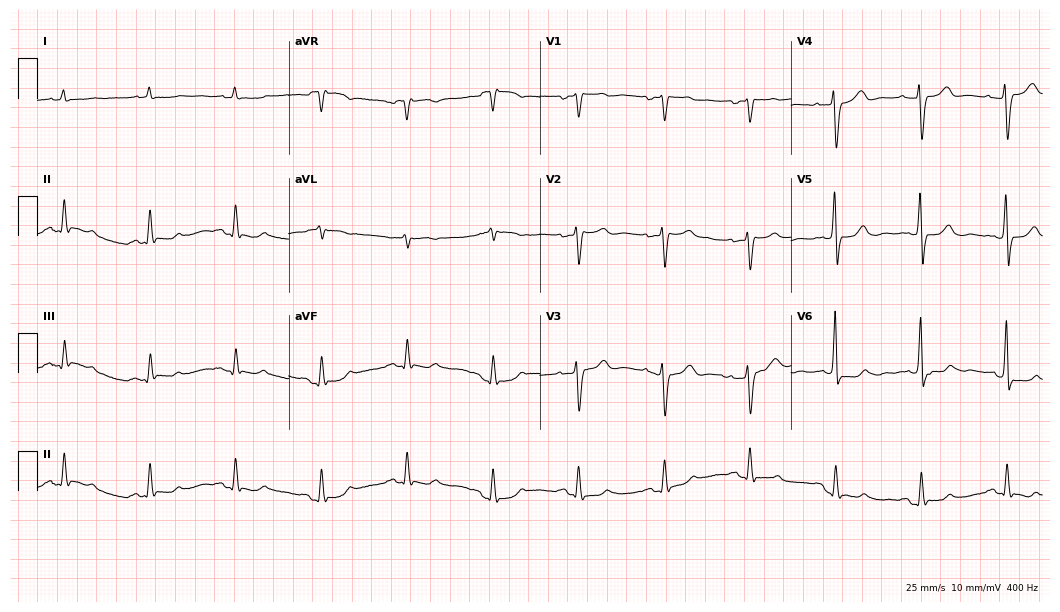
Electrocardiogram, a man, 85 years old. Of the six screened findings (first-degree AV block, right bundle branch block (RBBB), left bundle branch block (LBBB), sinus bradycardia, atrial fibrillation (AF), sinus tachycardia), none is recorded. Other findings, if any, are not listed.